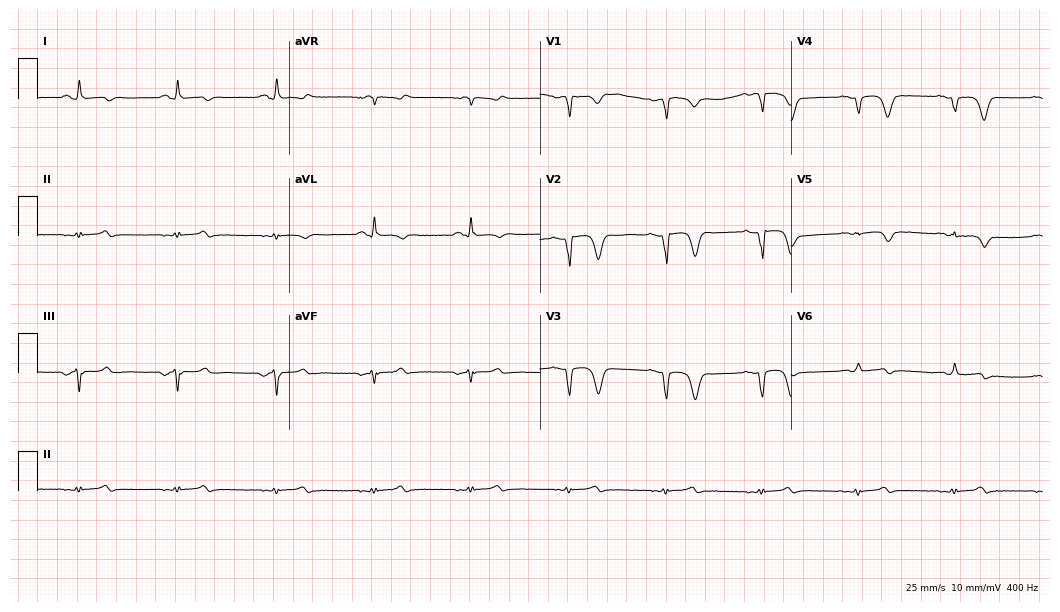
12-lead ECG from a man, 80 years old. No first-degree AV block, right bundle branch block (RBBB), left bundle branch block (LBBB), sinus bradycardia, atrial fibrillation (AF) or sinus tachycardia recorded for this tracing.